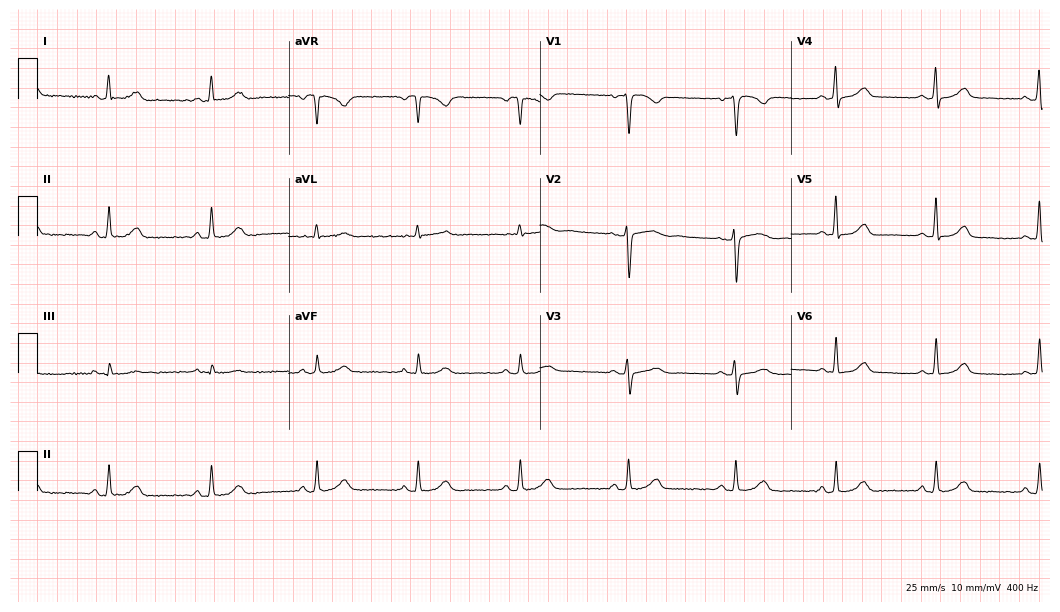
Standard 12-lead ECG recorded from a 49-year-old woman. Read as a normal ECG.